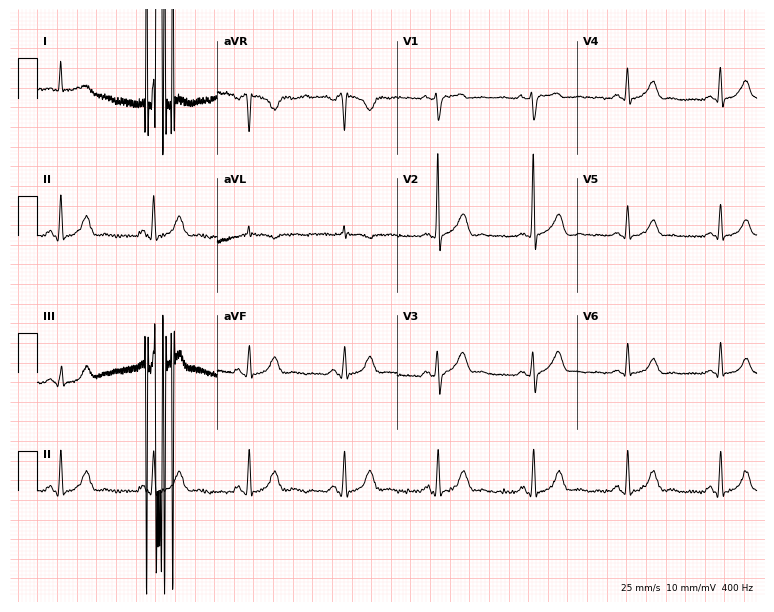
ECG — a male, 36 years old. Labelled as a normal ECG.